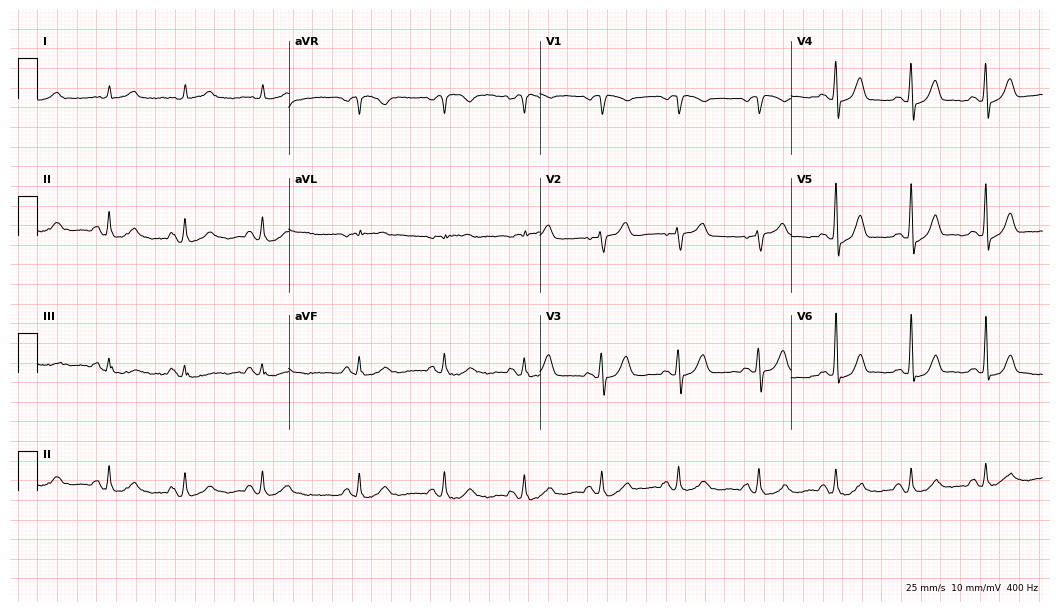
Electrocardiogram (10.2-second recording at 400 Hz), a 69-year-old female patient. Overall reading on record: normal ECG.